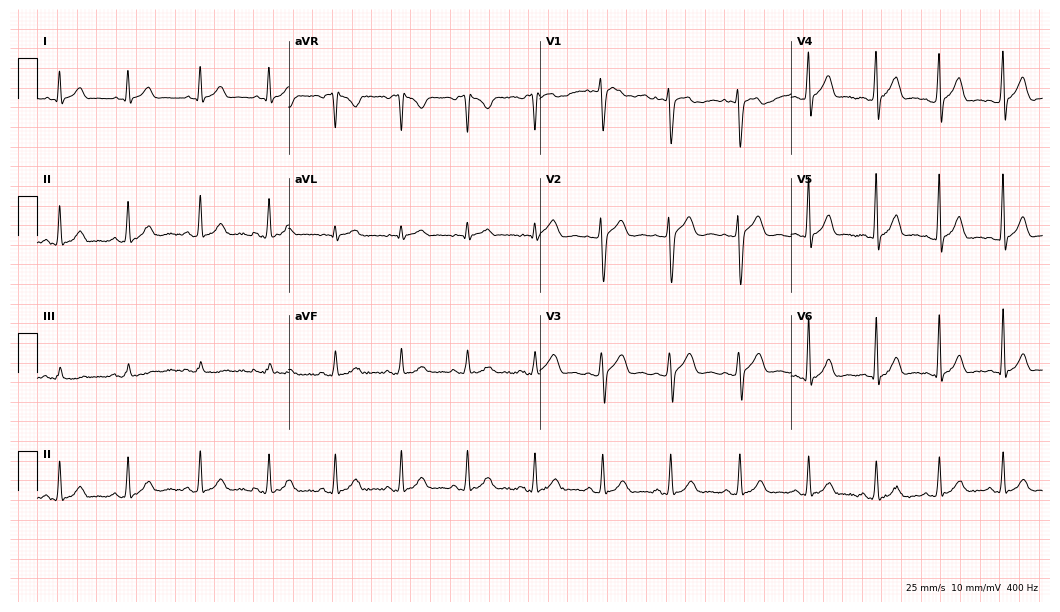
Standard 12-lead ECG recorded from a 27-year-old male (10.2-second recording at 400 Hz). Read as a normal ECG.